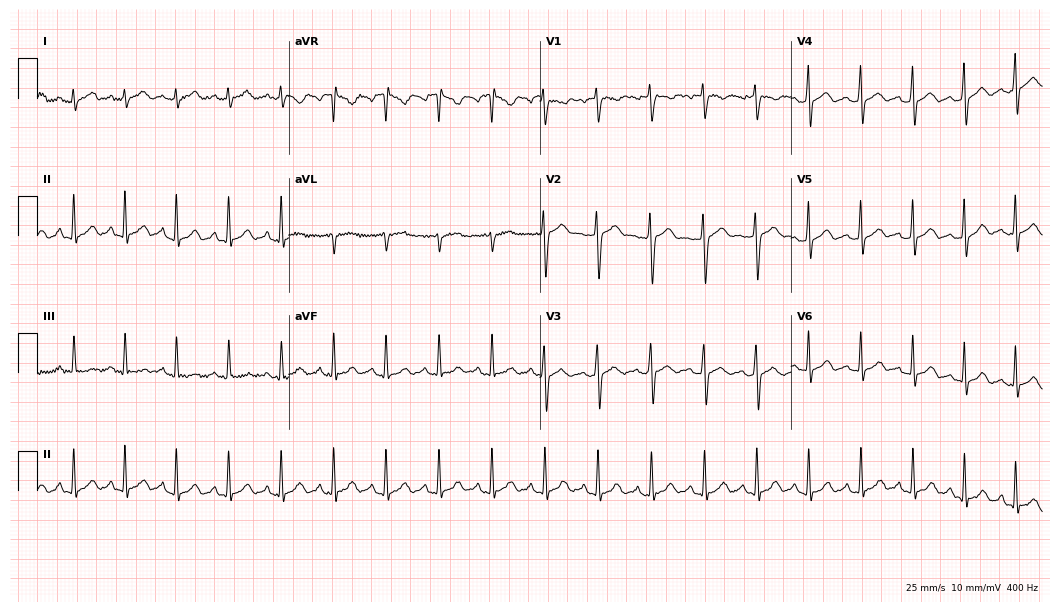
Standard 12-lead ECG recorded from a 28-year-old woman. The tracing shows sinus tachycardia (a sinus rate of 100 beats per minute or more).